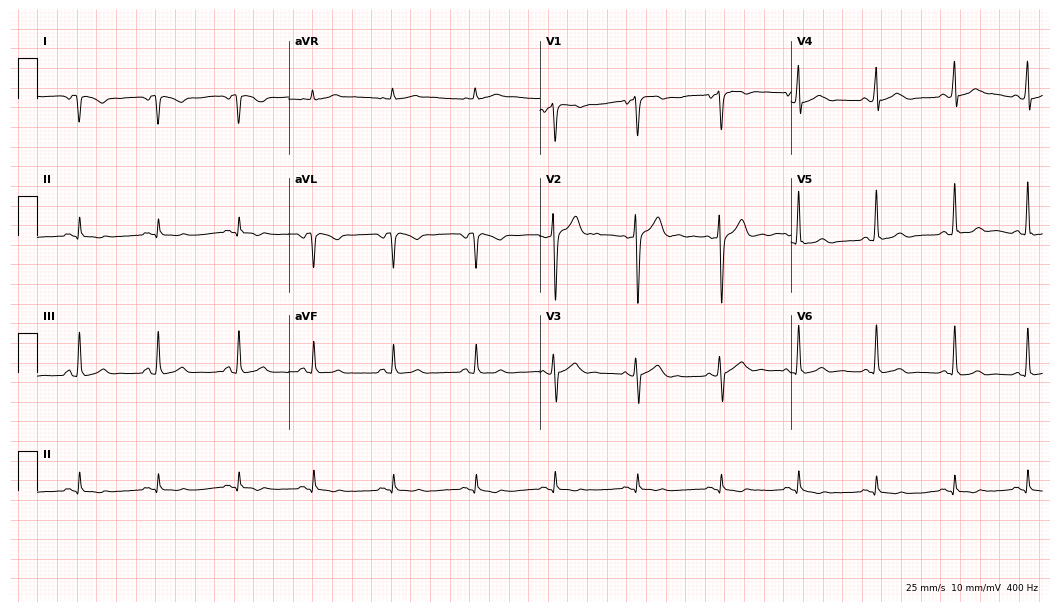
12-lead ECG from a 33-year-old male patient. No first-degree AV block, right bundle branch block, left bundle branch block, sinus bradycardia, atrial fibrillation or sinus tachycardia recorded for this tracing. Other findings, if any, are not listed.